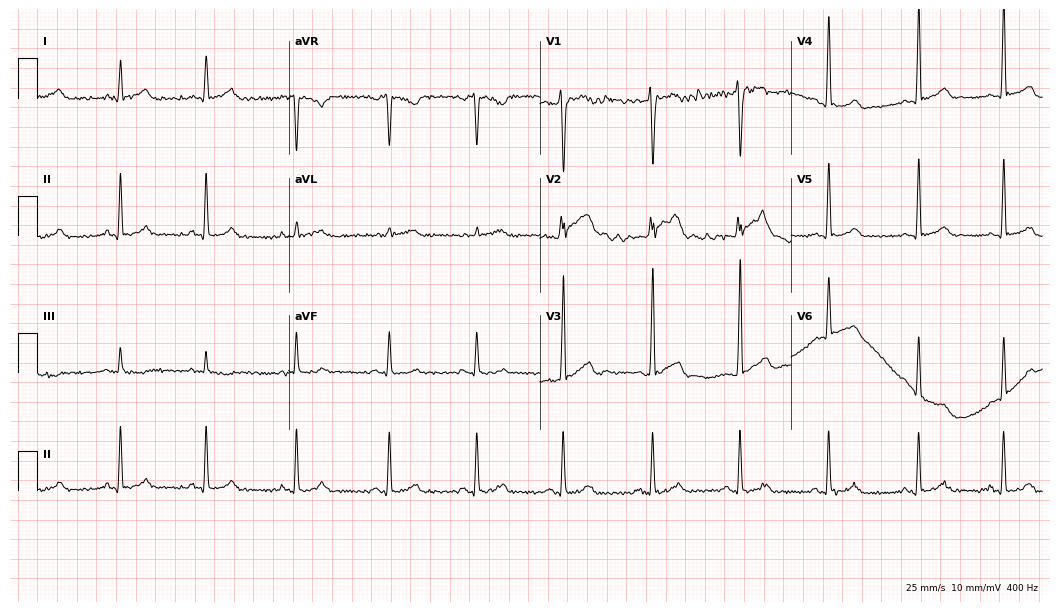
12-lead ECG from a male, 29 years old. No first-degree AV block, right bundle branch block, left bundle branch block, sinus bradycardia, atrial fibrillation or sinus tachycardia recorded for this tracing.